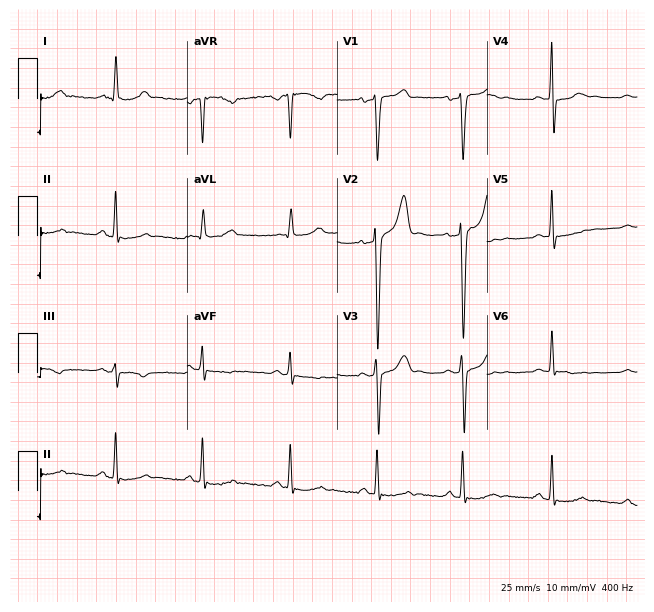
Resting 12-lead electrocardiogram. Patient: a male, 54 years old. None of these six findings is recorded: first-degree AV block, right bundle branch block, left bundle branch block, sinus bradycardia, atrial fibrillation, sinus tachycardia.